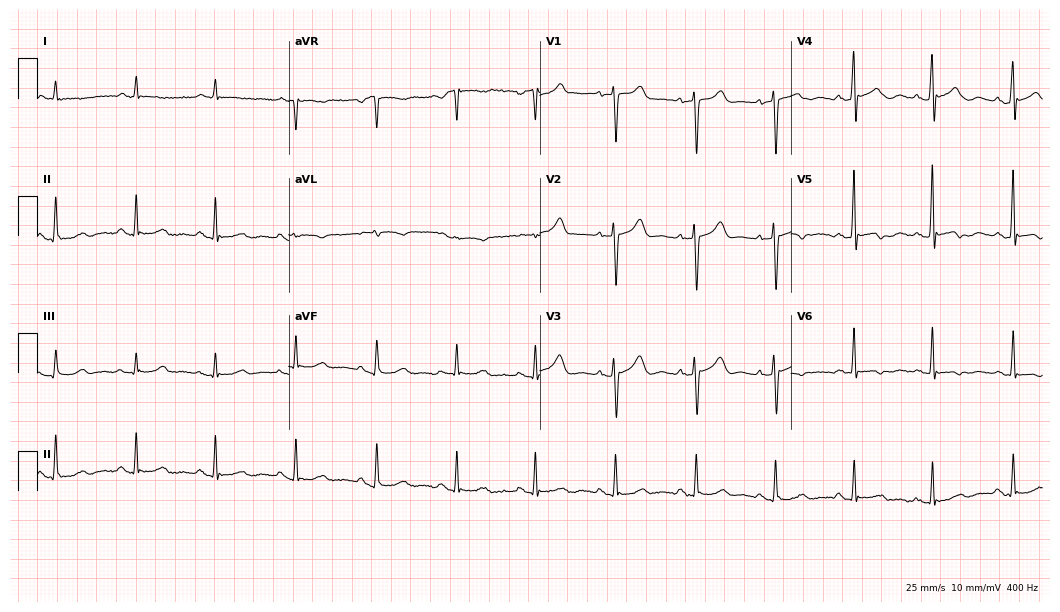
Electrocardiogram (10.2-second recording at 400 Hz), a 62-year-old female patient. Of the six screened findings (first-degree AV block, right bundle branch block, left bundle branch block, sinus bradycardia, atrial fibrillation, sinus tachycardia), none is recorded. Only these six findings were labelled.